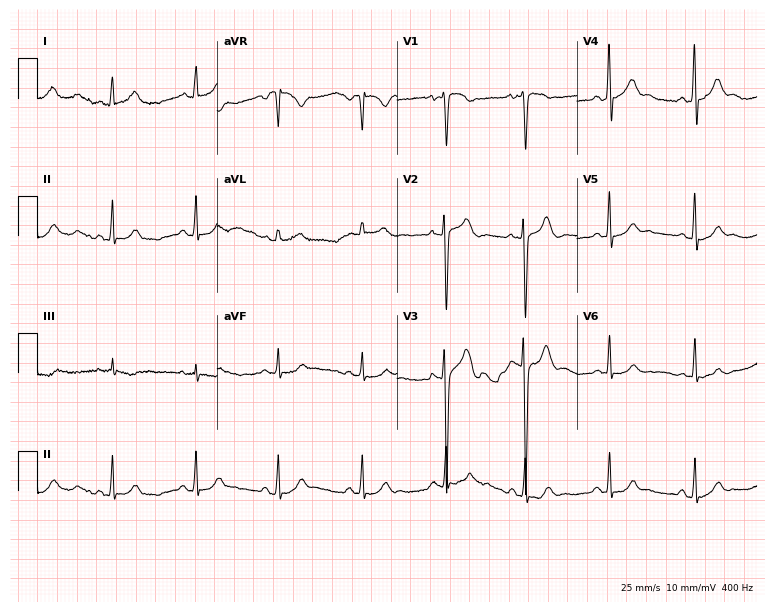
12-lead ECG from a 21-year-old male patient. Recorded interpretation: within normal limits.